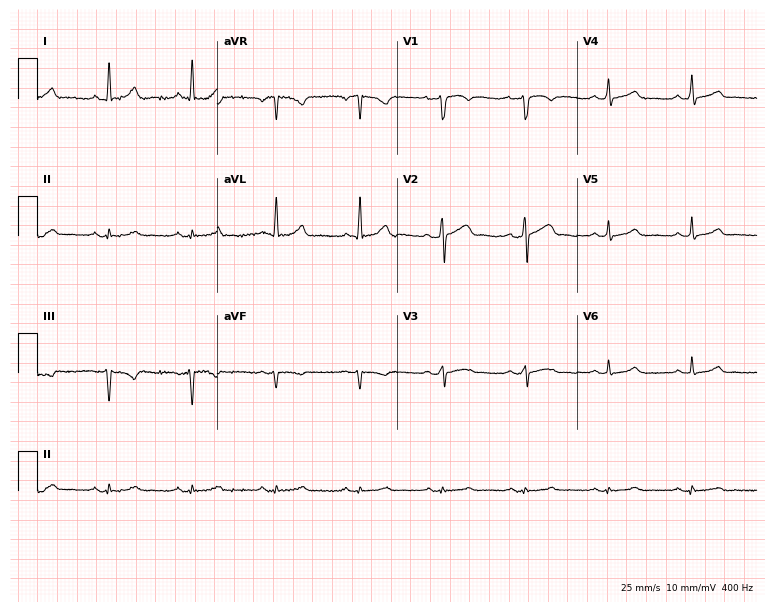
12-lead ECG from a 55-year-old man (7.3-second recording at 400 Hz). No first-degree AV block, right bundle branch block (RBBB), left bundle branch block (LBBB), sinus bradycardia, atrial fibrillation (AF) or sinus tachycardia recorded for this tracing.